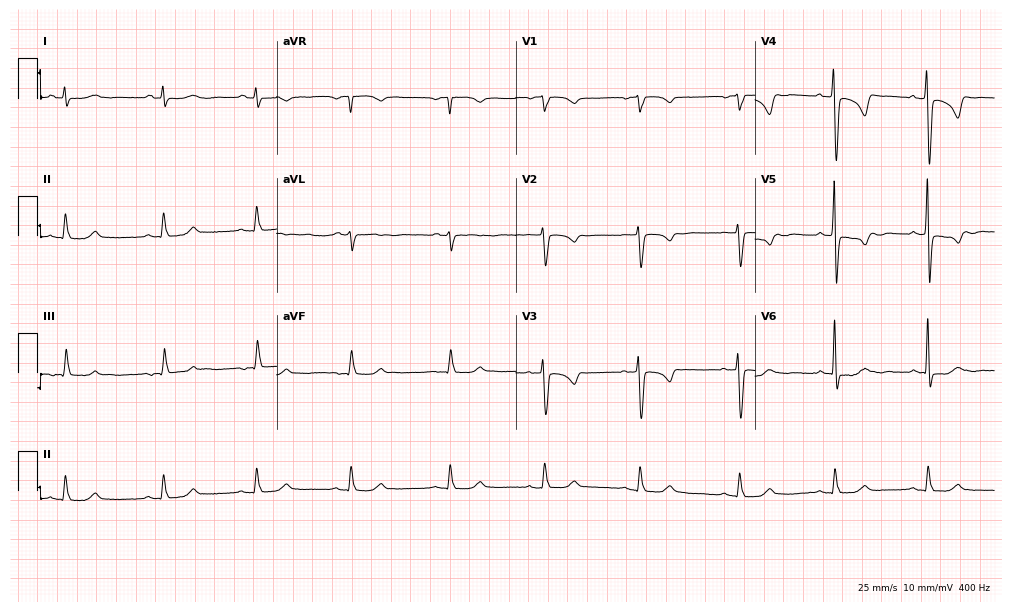
Electrocardiogram (9.8-second recording at 400 Hz), a female patient, 64 years old. Of the six screened findings (first-degree AV block, right bundle branch block (RBBB), left bundle branch block (LBBB), sinus bradycardia, atrial fibrillation (AF), sinus tachycardia), none is recorded.